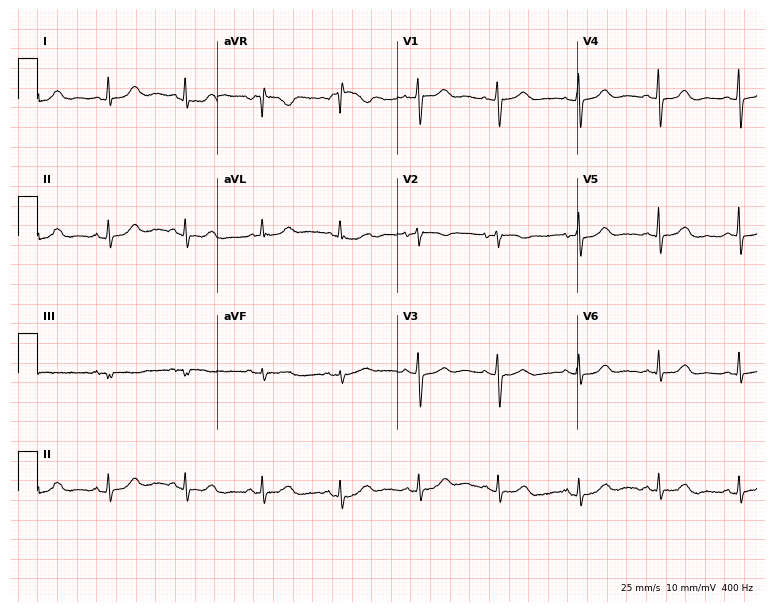
Resting 12-lead electrocardiogram (7.3-second recording at 400 Hz). Patient: a 69-year-old female. None of these six findings is recorded: first-degree AV block, right bundle branch block (RBBB), left bundle branch block (LBBB), sinus bradycardia, atrial fibrillation (AF), sinus tachycardia.